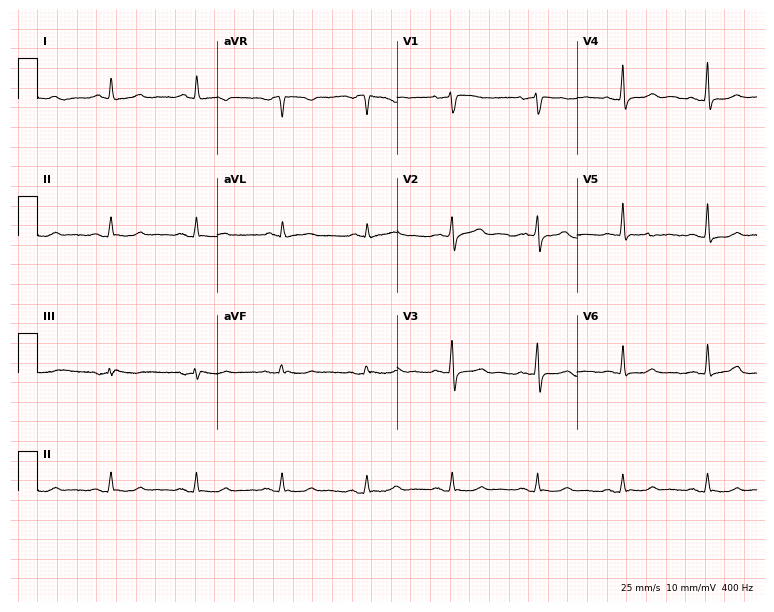
Resting 12-lead electrocardiogram. Patient: a male, 76 years old. None of these six findings is recorded: first-degree AV block, right bundle branch block (RBBB), left bundle branch block (LBBB), sinus bradycardia, atrial fibrillation (AF), sinus tachycardia. Other findings, if any, are not listed.